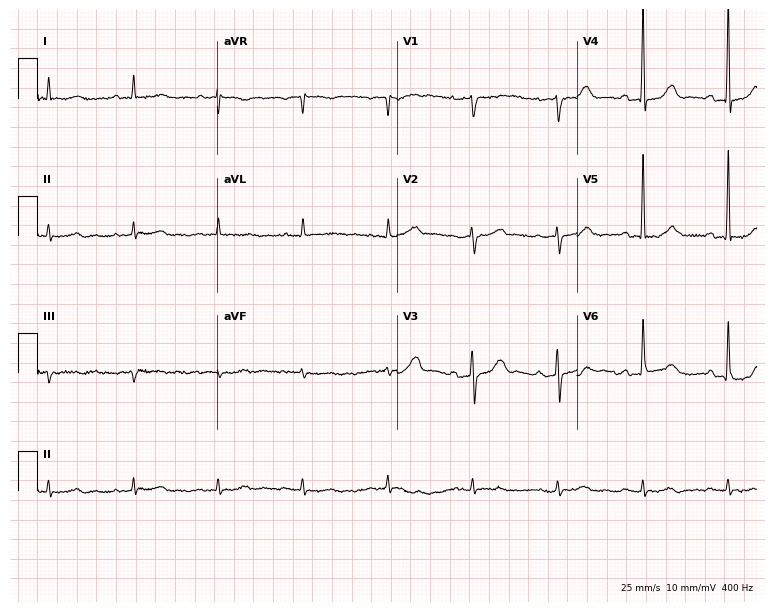
Electrocardiogram, an 87-year-old woman. Overall reading on record: normal ECG.